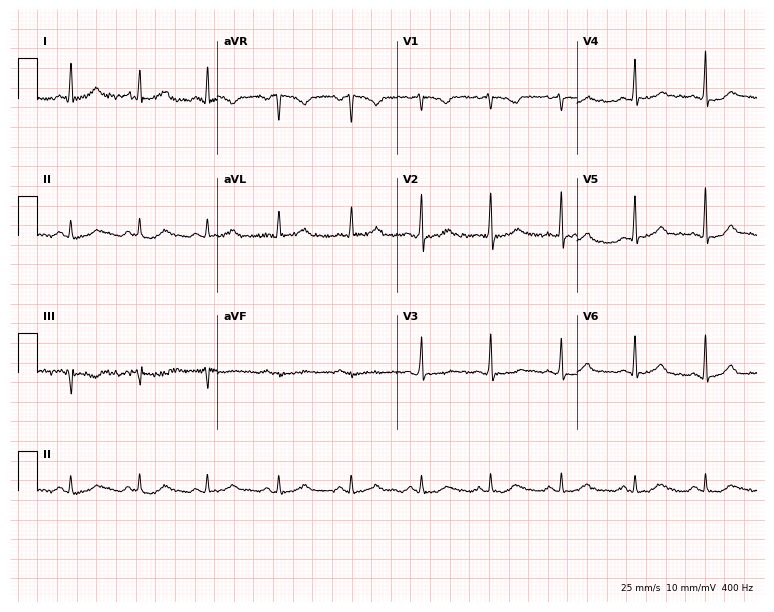
12-lead ECG (7.3-second recording at 400 Hz) from a 29-year-old female patient. Labelled as a normal ECG.